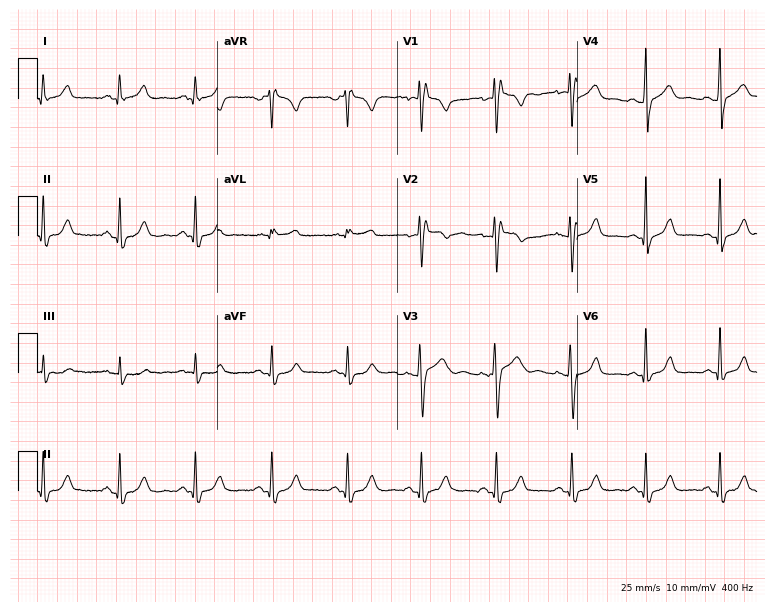
Standard 12-lead ECG recorded from a 42-year-old woman (7.3-second recording at 400 Hz). None of these six findings is recorded: first-degree AV block, right bundle branch block, left bundle branch block, sinus bradycardia, atrial fibrillation, sinus tachycardia.